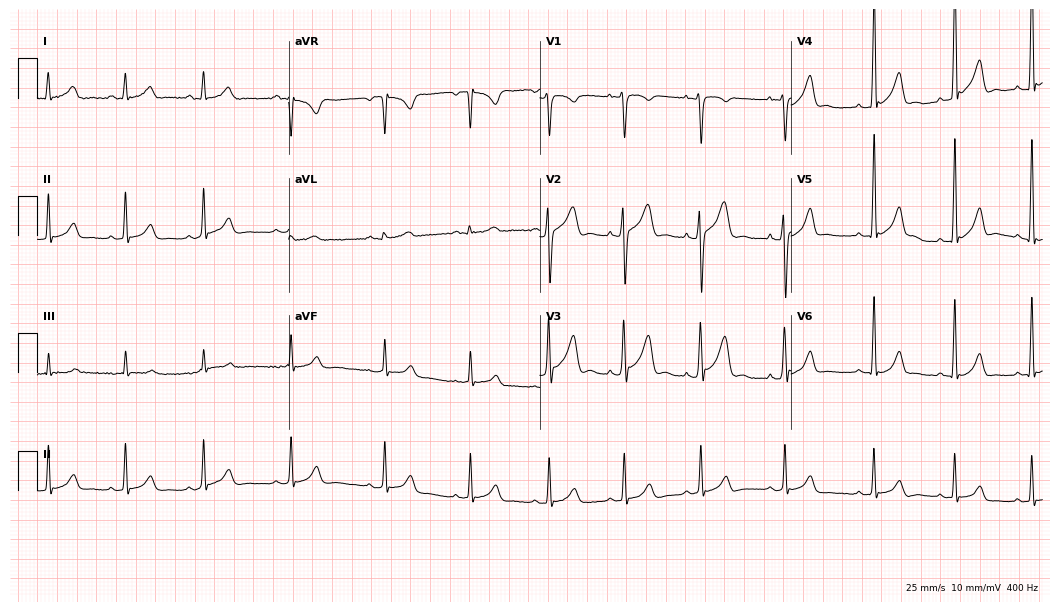
12-lead ECG from a 20-year-old male. Screened for six findings — first-degree AV block, right bundle branch block (RBBB), left bundle branch block (LBBB), sinus bradycardia, atrial fibrillation (AF), sinus tachycardia — none is recorded.